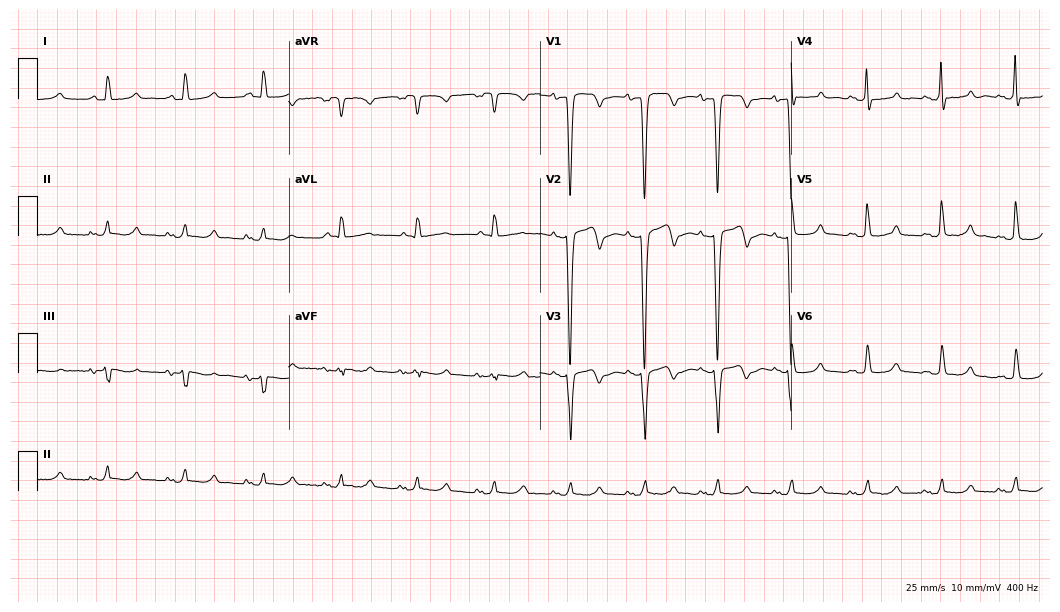
ECG (10.2-second recording at 400 Hz) — a 51-year-old woman. Screened for six findings — first-degree AV block, right bundle branch block (RBBB), left bundle branch block (LBBB), sinus bradycardia, atrial fibrillation (AF), sinus tachycardia — none is recorded.